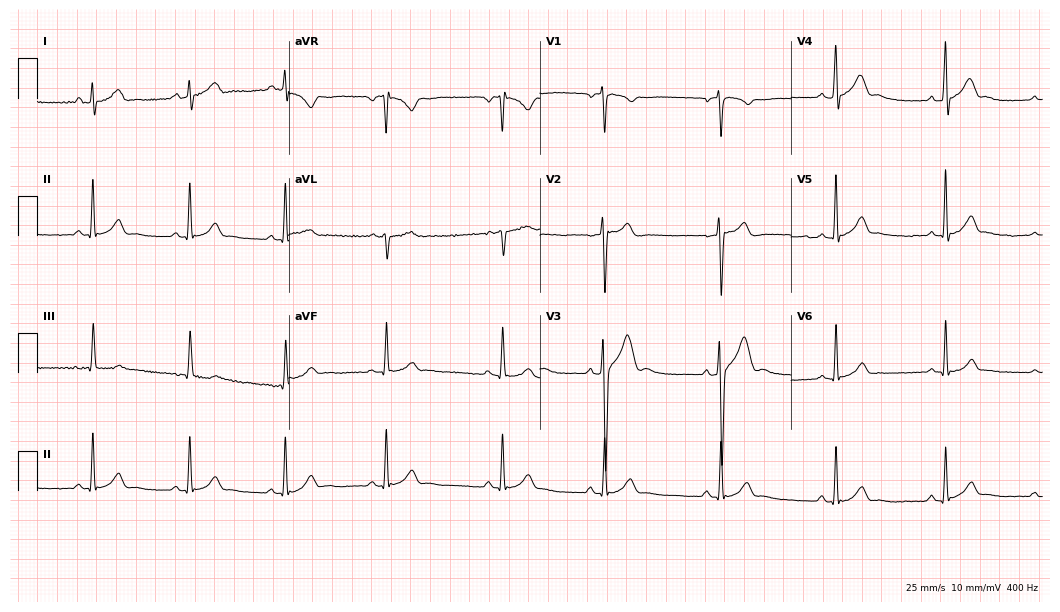
Standard 12-lead ECG recorded from a man, 17 years old. Read as a normal ECG.